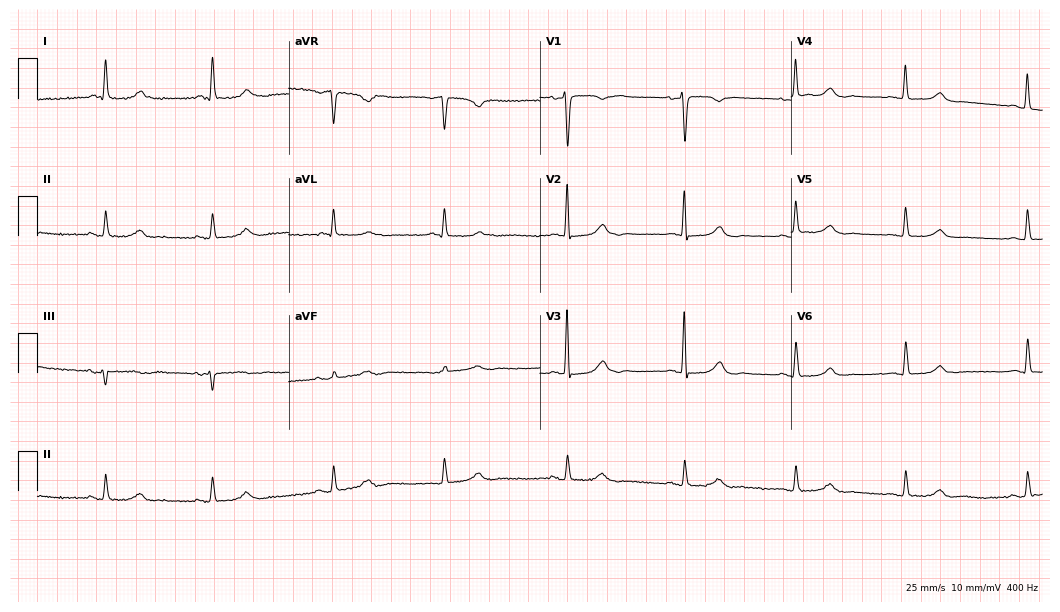
12-lead ECG from a 73-year-old woman (10.2-second recording at 400 Hz). Recorded interpretation: within normal limits.